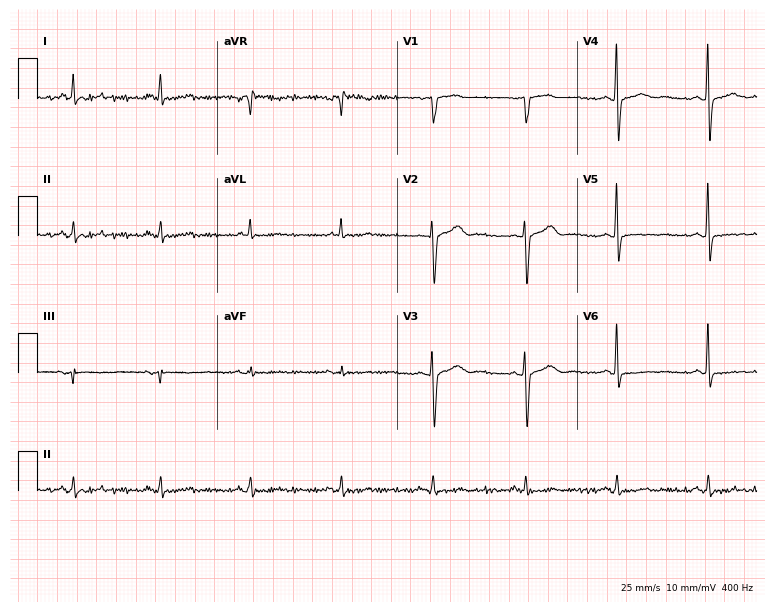
Electrocardiogram (7.3-second recording at 400 Hz), a 51-year-old female. Of the six screened findings (first-degree AV block, right bundle branch block, left bundle branch block, sinus bradycardia, atrial fibrillation, sinus tachycardia), none is recorded.